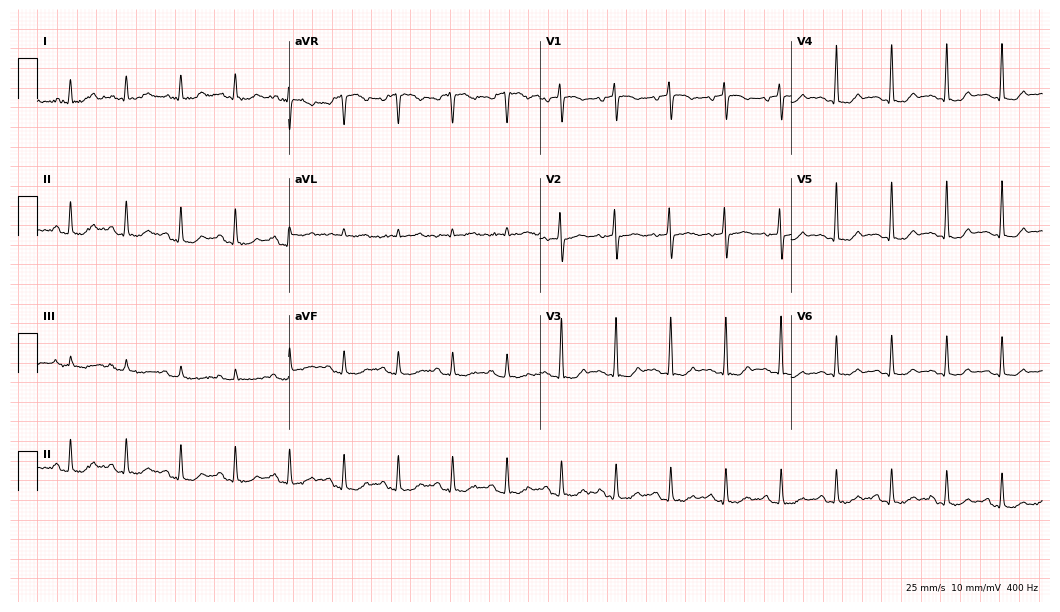
ECG (10.2-second recording at 400 Hz) — a female, 81 years old. Screened for six findings — first-degree AV block, right bundle branch block, left bundle branch block, sinus bradycardia, atrial fibrillation, sinus tachycardia — none is recorded.